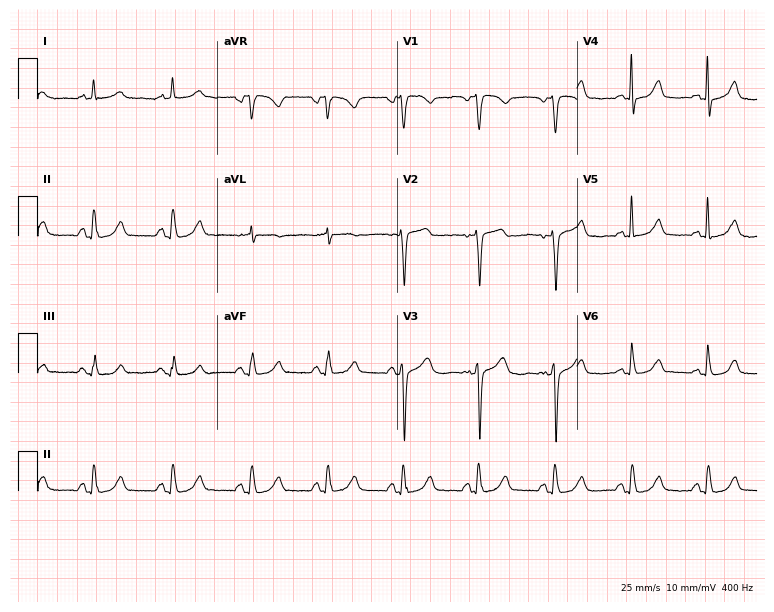
Standard 12-lead ECG recorded from a 55-year-old woman (7.3-second recording at 400 Hz). Read as a normal ECG.